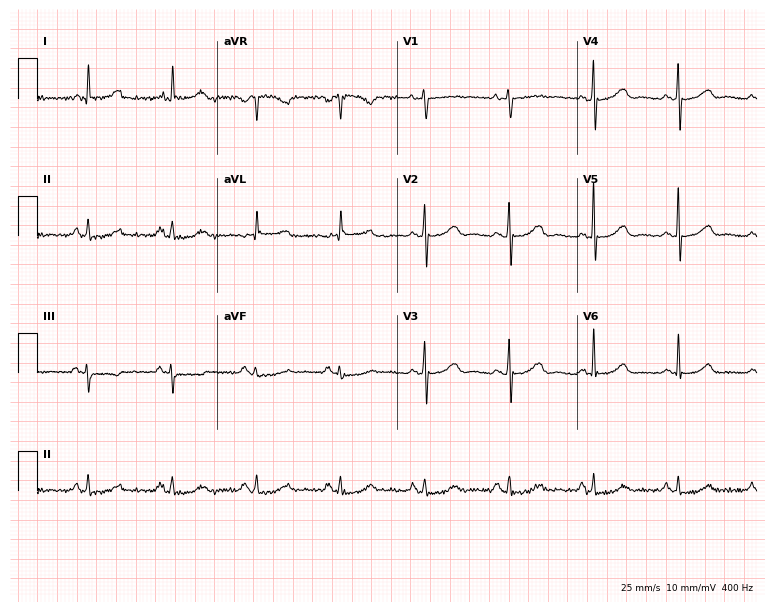
Standard 12-lead ECG recorded from a female, 76 years old. None of these six findings is recorded: first-degree AV block, right bundle branch block (RBBB), left bundle branch block (LBBB), sinus bradycardia, atrial fibrillation (AF), sinus tachycardia.